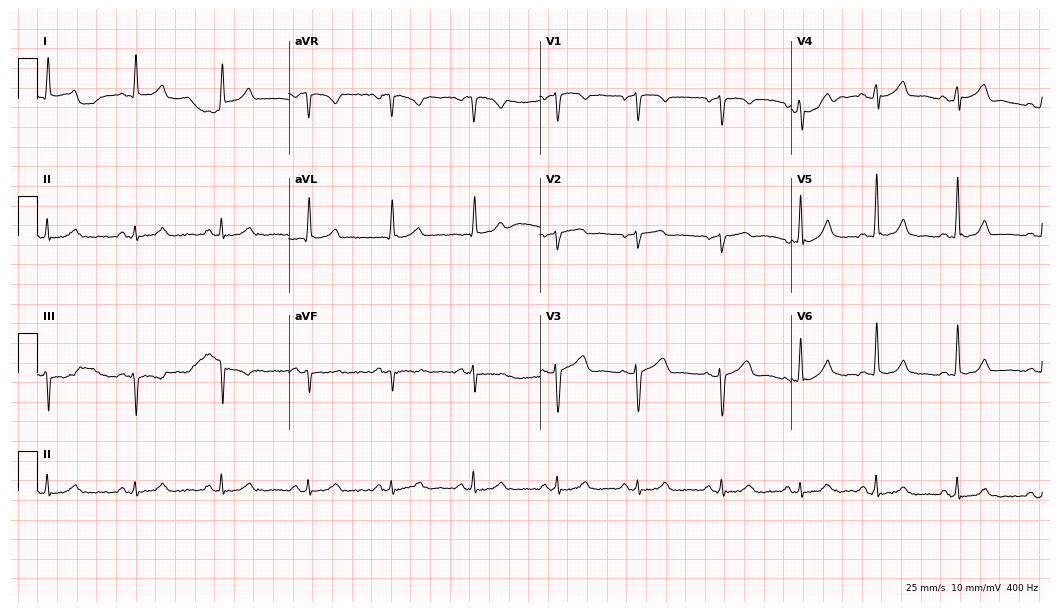
Resting 12-lead electrocardiogram. Patient: a woman, 55 years old. Read as a normal ECG.